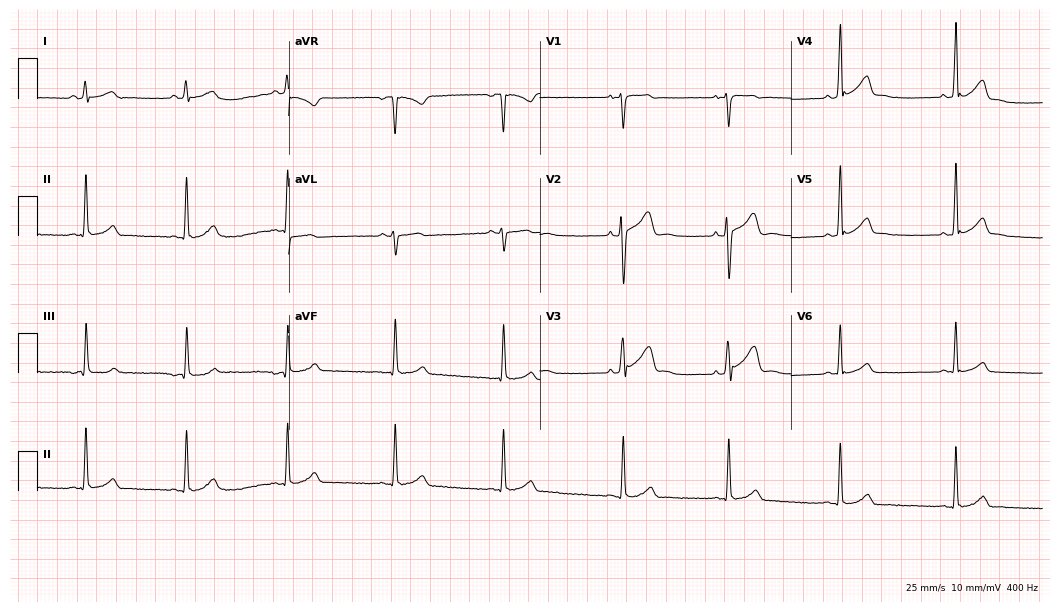
Electrocardiogram, a 19-year-old male patient. Overall reading on record: normal ECG.